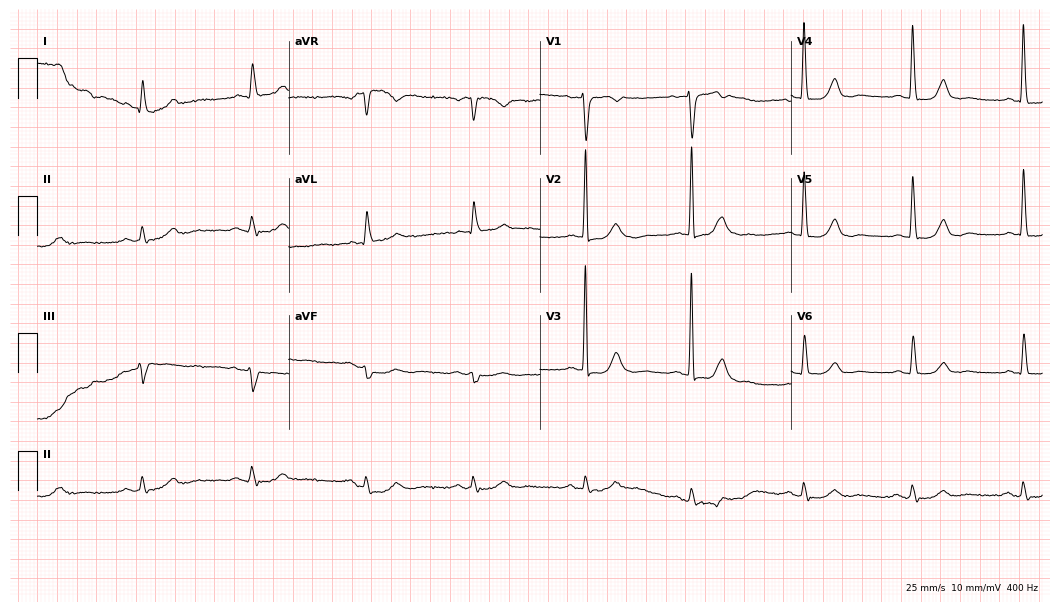
Electrocardiogram, an 82-year-old woman. Of the six screened findings (first-degree AV block, right bundle branch block (RBBB), left bundle branch block (LBBB), sinus bradycardia, atrial fibrillation (AF), sinus tachycardia), none is recorded.